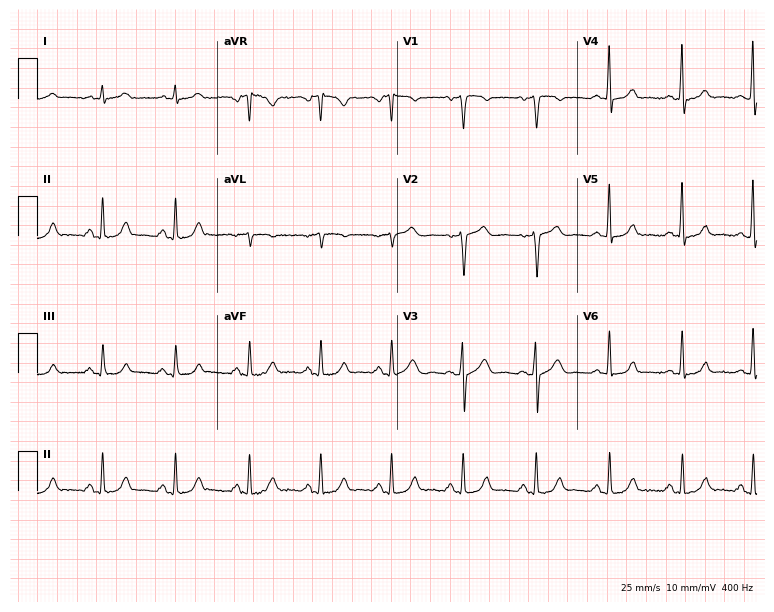
Standard 12-lead ECG recorded from a woman, 63 years old. Read as a normal ECG.